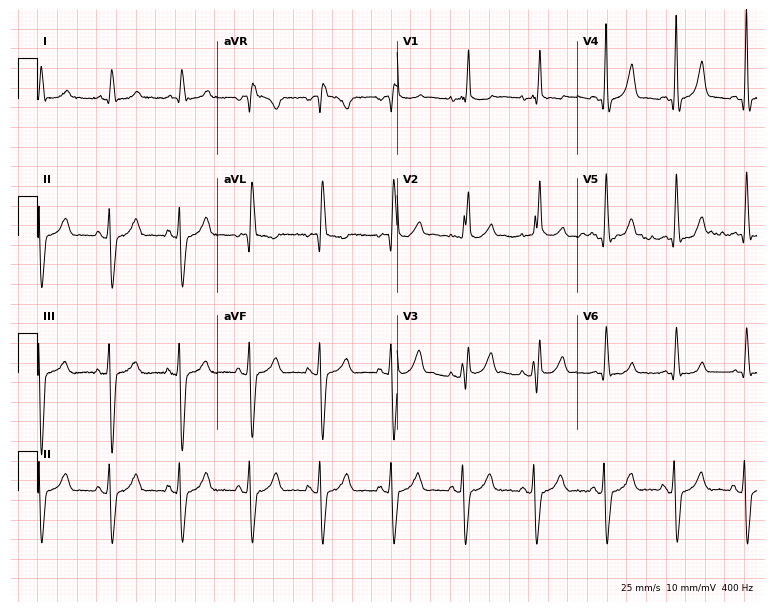
Electrocardiogram, a man, 80 years old. Of the six screened findings (first-degree AV block, right bundle branch block, left bundle branch block, sinus bradycardia, atrial fibrillation, sinus tachycardia), none is recorded.